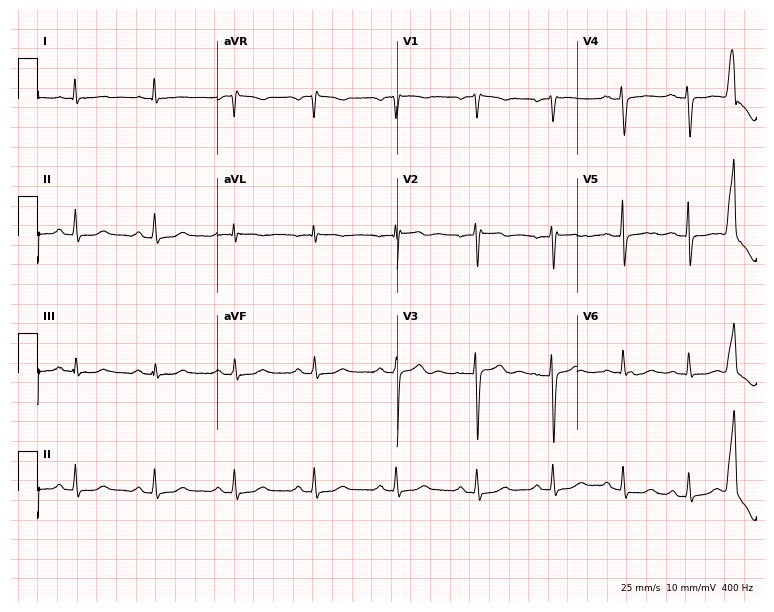
Standard 12-lead ECG recorded from a 44-year-old female. Read as a normal ECG.